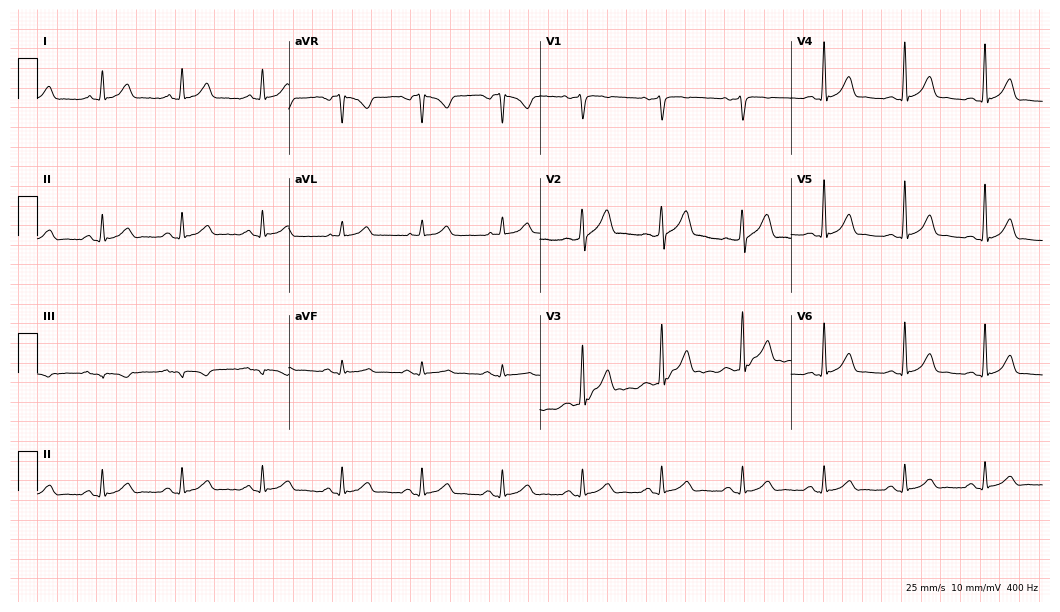
Electrocardiogram (10.2-second recording at 400 Hz), a 36-year-old male. Overall reading on record: normal ECG.